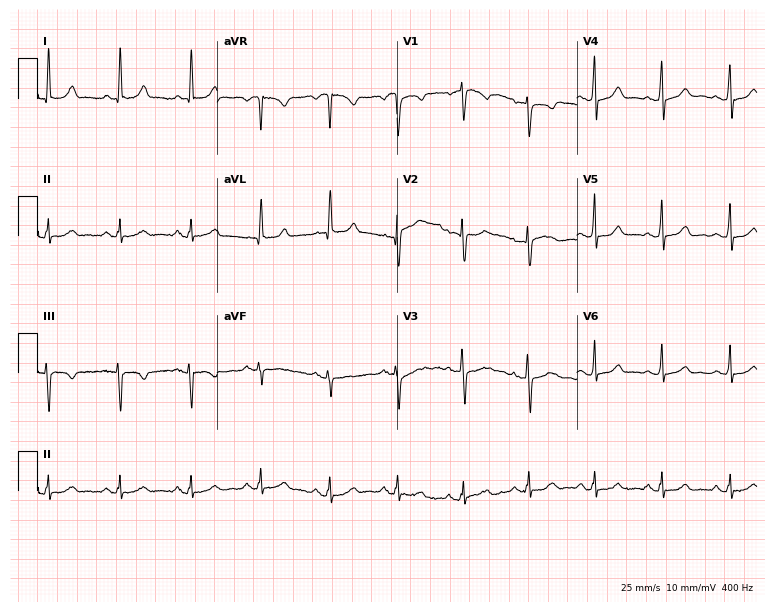
Resting 12-lead electrocardiogram (7.3-second recording at 400 Hz). Patient: a female, 37 years old. None of these six findings is recorded: first-degree AV block, right bundle branch block, left bundle branch block, sinus bradycardia, atrial fibrillation, sinus tachycardia.